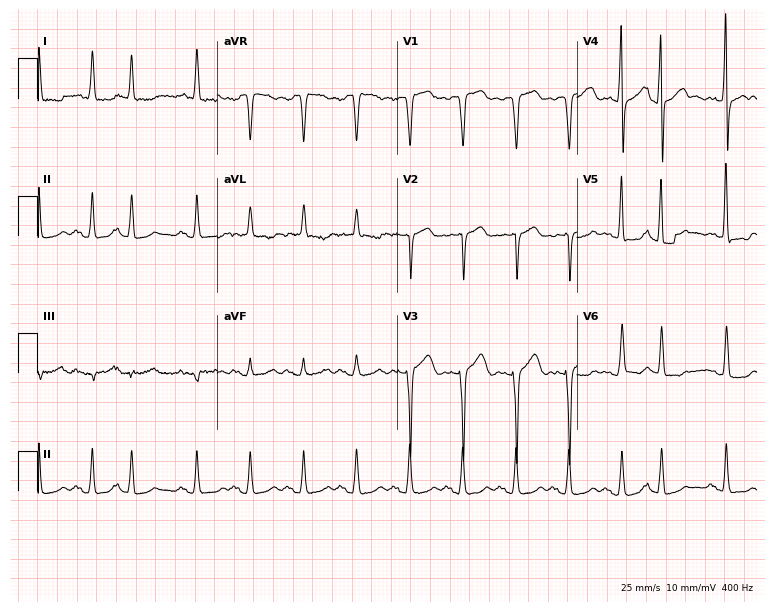
Electrocardiogram, a female patient, 75 years old. Interpretation includes sinus tachycardia (a sinus rate of 100 beats per minute or more).